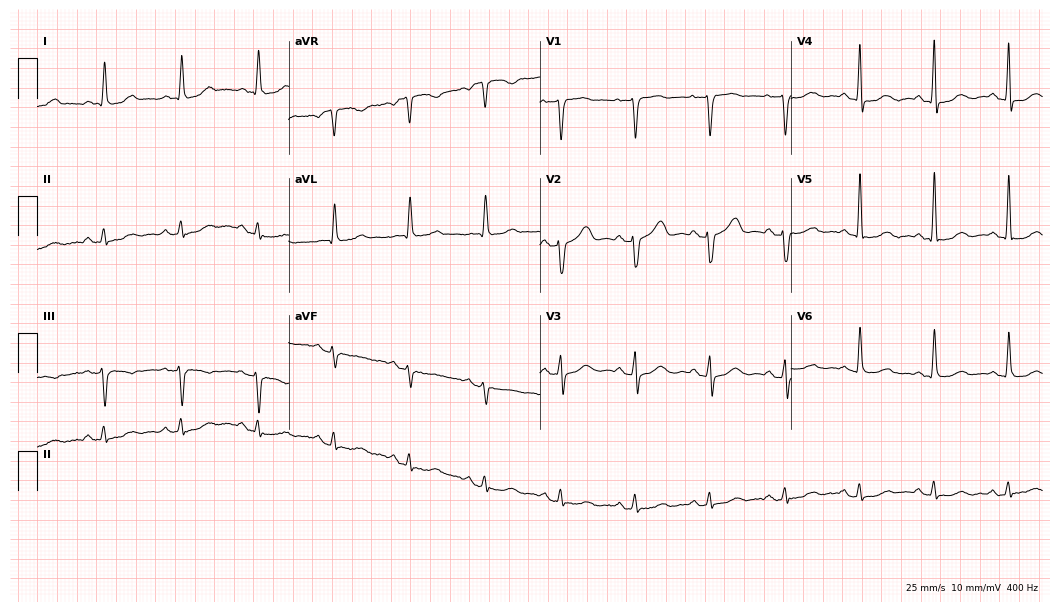
Resting 12-lead electrocardiogram. Patient: an 85-year-old female. None of these six findings is recorded: first-degree AV block, right bundle branch block, left bundle branch block, sinus bradycardia, atrial fibrillation, sinus tachycardia.